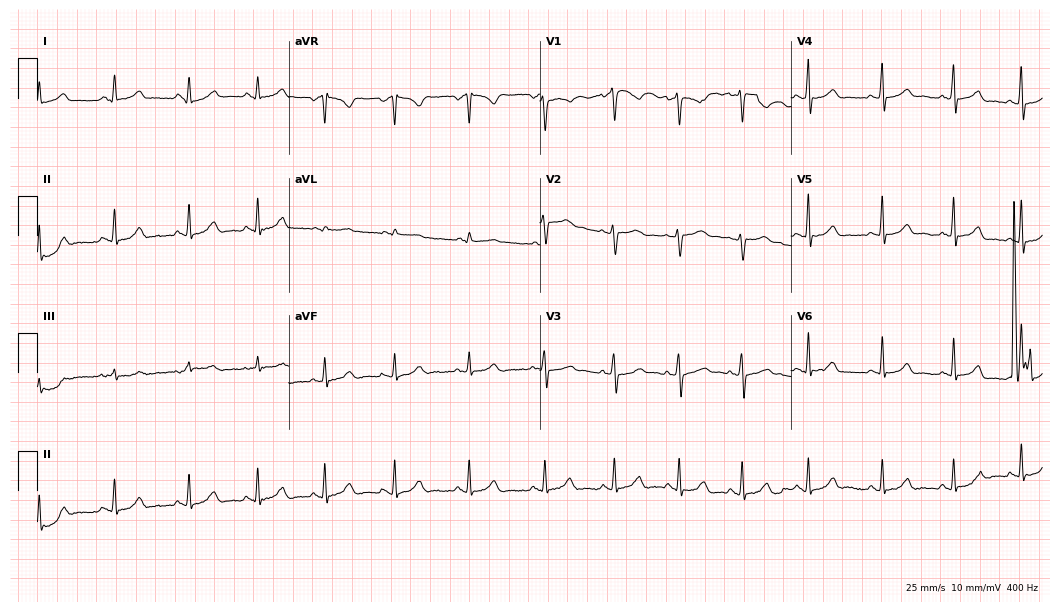
12-lead ECG (10.2-second recording at 400 Hz) from a 22-year-old woman. Labelled as a normal ECG.